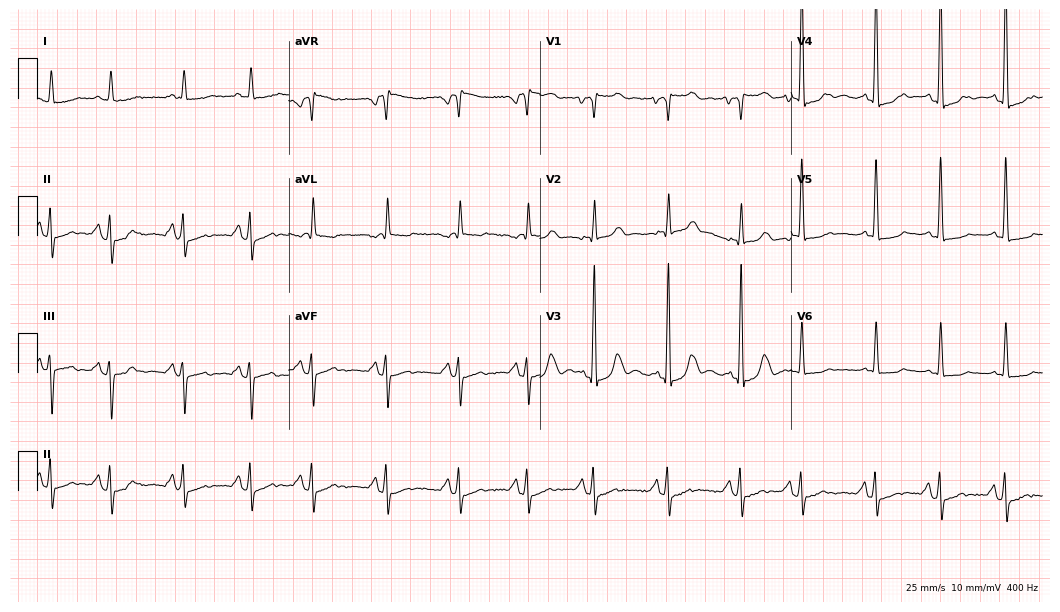
Resting 12-lead electrocardiogram. Patient: a 60-year-old female. None of these six findings is recorded: first-degree AV block, right bundle branch block, left bundle branch block, sinus bradycardia, atrial fibrillation, sinus tachycardia.